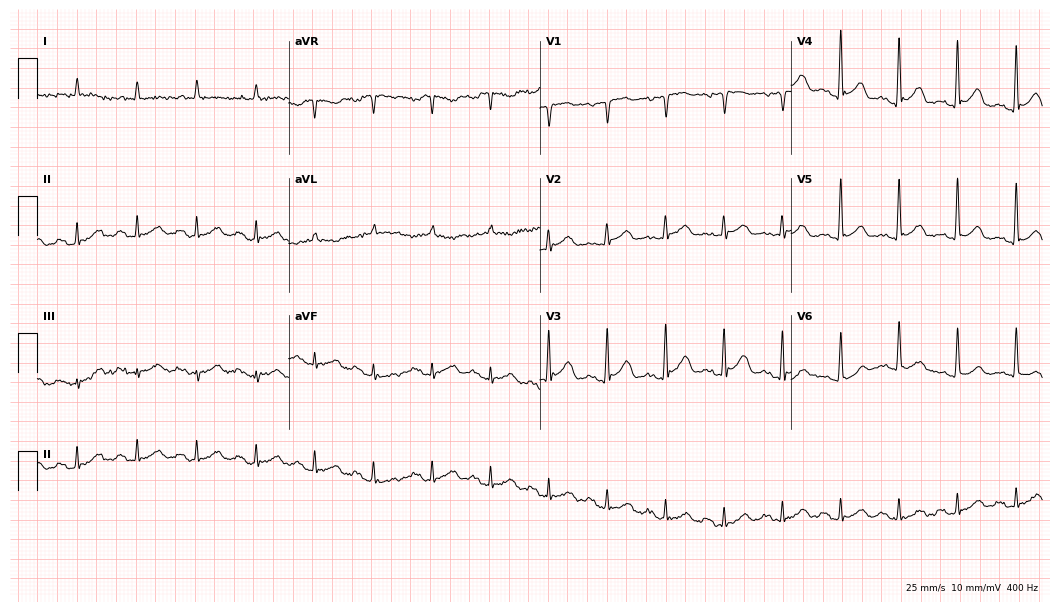
Resting 12-lead electrocardiogram (10.2-second recording at 400 Hz). Patient: a 76-year-old male. Read as a normal ECG.